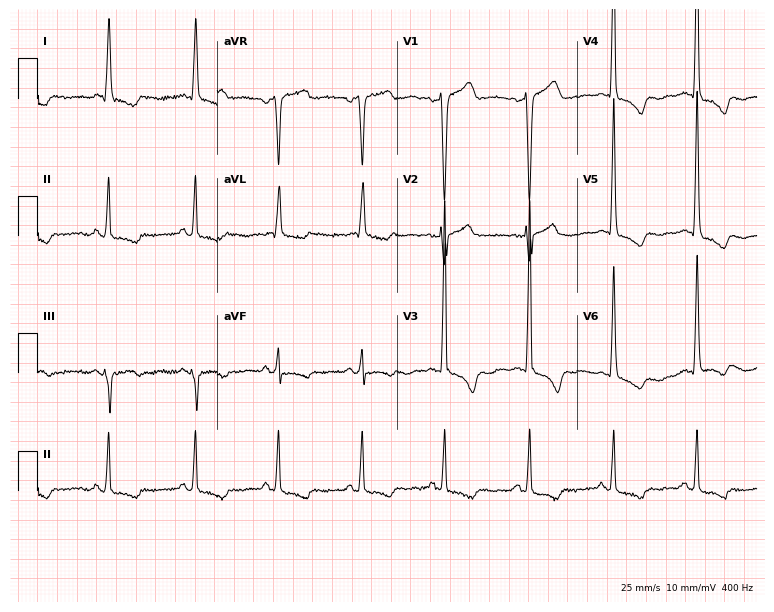
Standard 12-lead ECG recorded from a woman, 63 years old (7.3-second recording at 400 Hz). None of these six findings is recorded: first-degree AV block, right bundle branch block, left bundle branch block, sinus bradycardia, atrial fibrillation, sinus tachycardia.